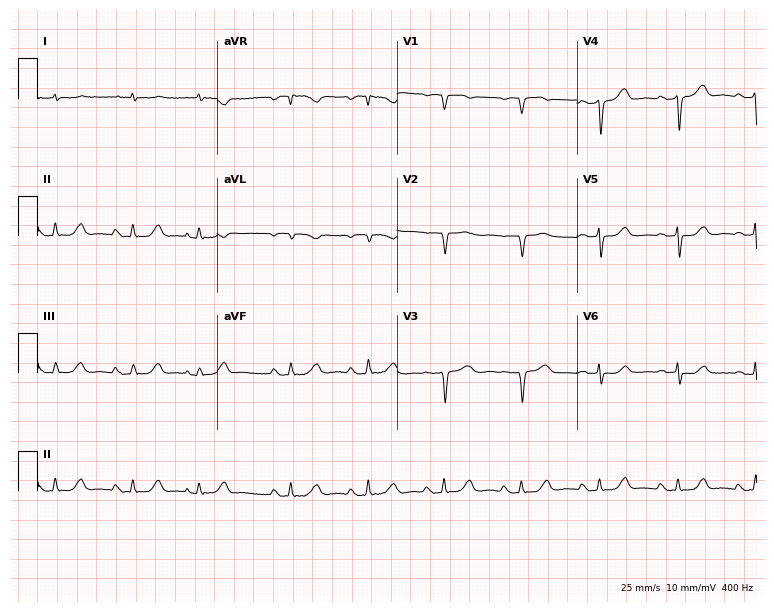
ECG (7.3-second recording at 400 Hz) — a male patient, 85 years old. Screened for six findings — first-degree AV block, right bundle branch block, left bundle branch block, sinus bradycardia, atrial fibrillation, sinus tachycardia — none is recorded.